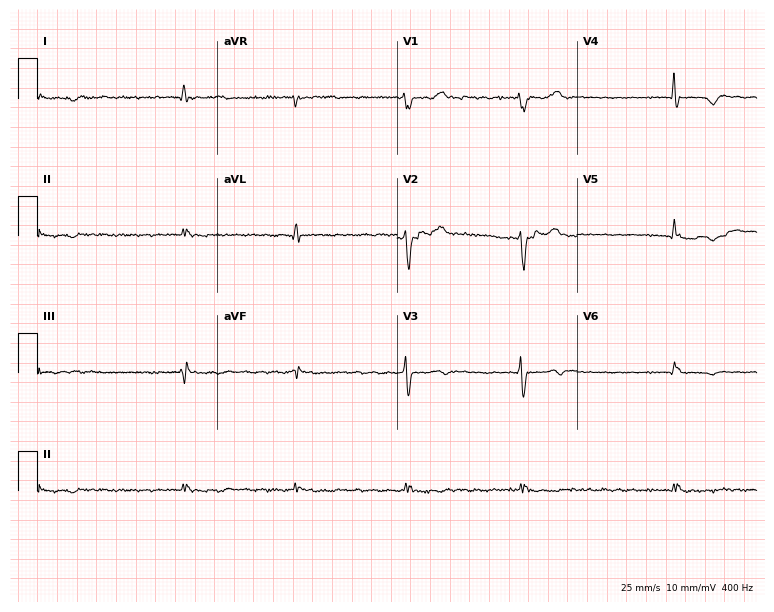
Electrocardiogram, a 76-year-old female. Interpretation includes atrial fibrillation (AF).